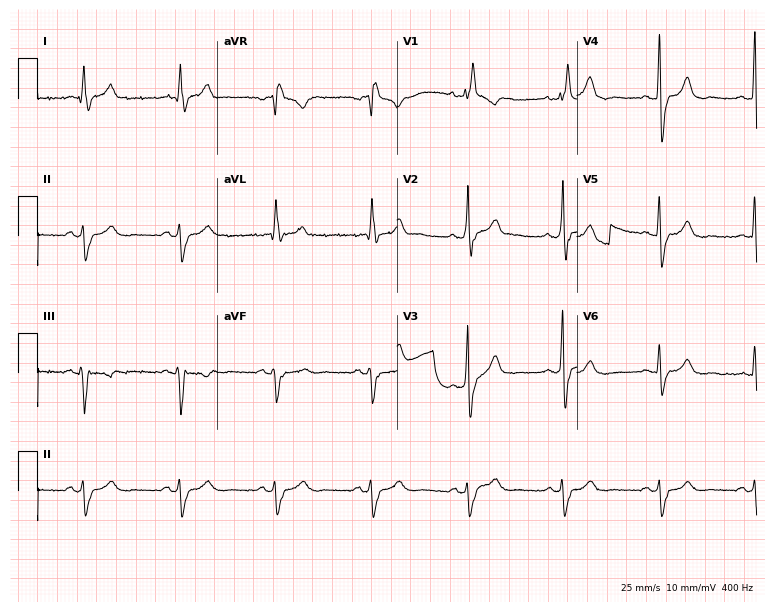
12-lead ECG (7.3-second recording at 400 Hz) from a male, 78 years old. Findings include right bundle branch block.